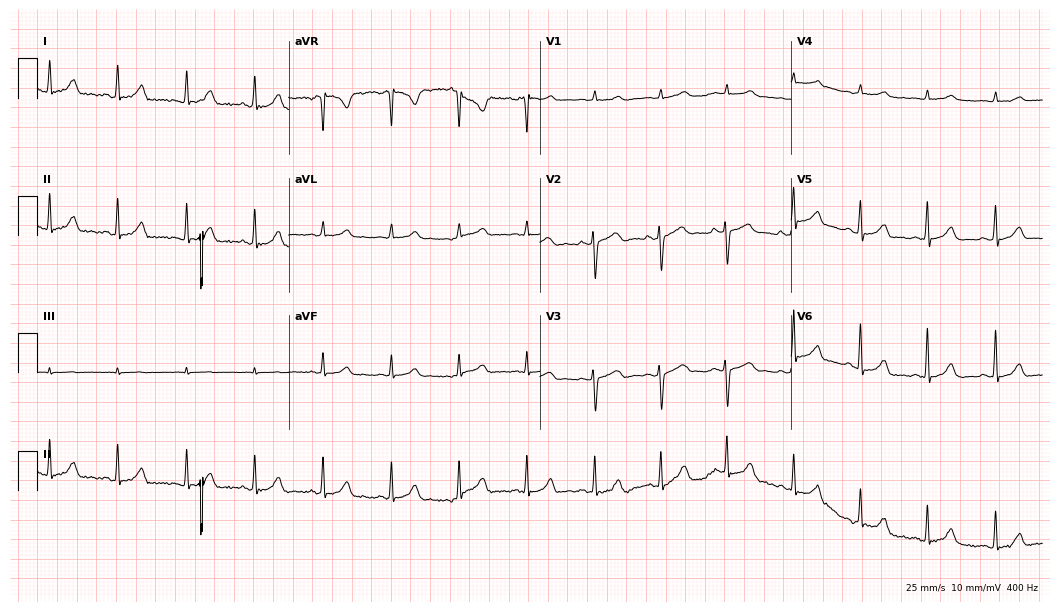
ECG (10.2-second recording at 400 Hz) — a 27-year-old female patient. Labelled as a normal ECG.